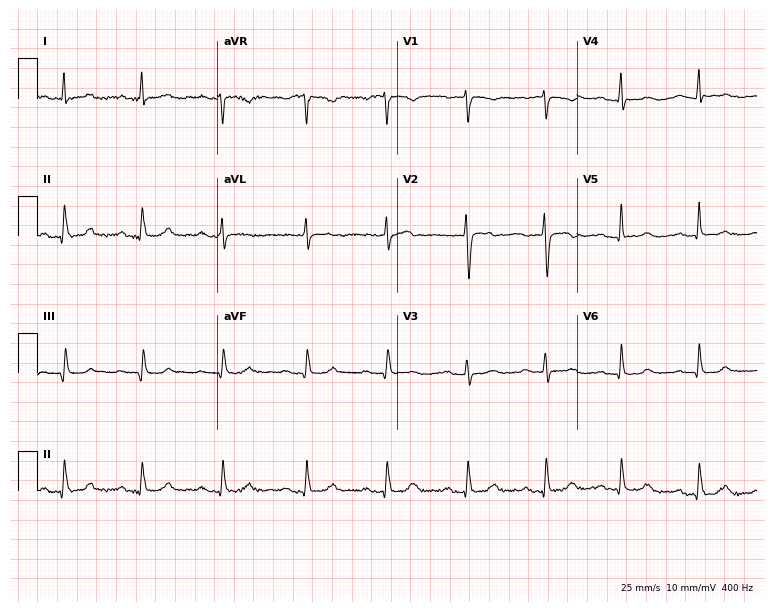
12-lead ECG from a 52-year-old female. No first-degree AV block, right bundle branch block, left bundle branch block, sinus bradycardia, atrial fibrillation or sinus tachycardia recorded for this tracing. Other findings, if any, are not listed.